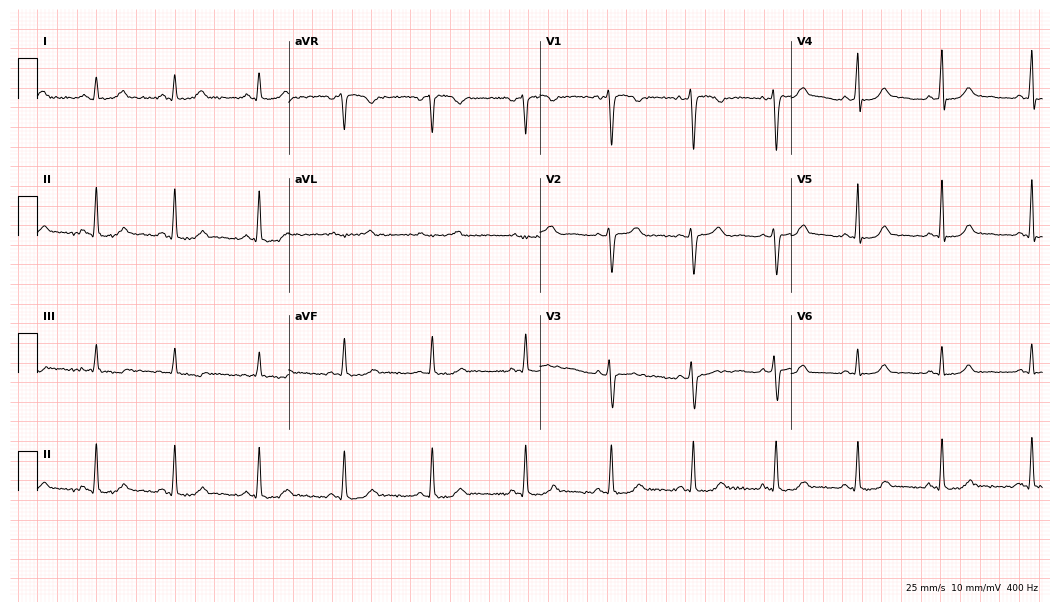
12-lead ECG from a female patient, 40 years old (10.2-second recording at 400 Hz). Recorded interpretation: within normal limits.